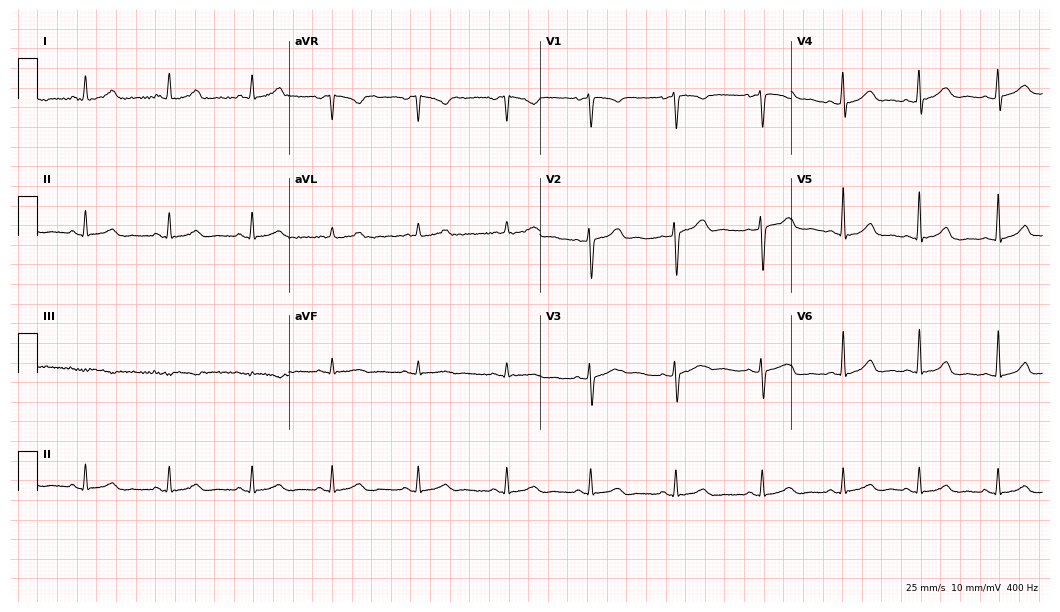
Resting 12-lead electrocardiogram (10.2-second recording at 400 Hz). Patient: a female, 43 years old. Read as a normal ECG.